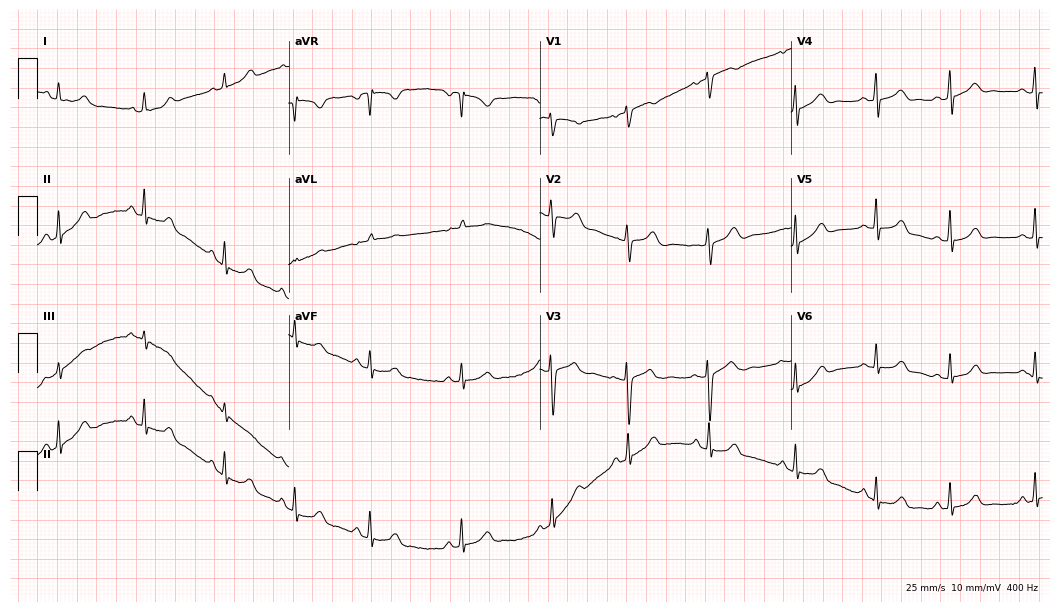
ECG (10.2-second recording at 400 Hz) — a woman, 21 years old. Labelled as a normal ECG.